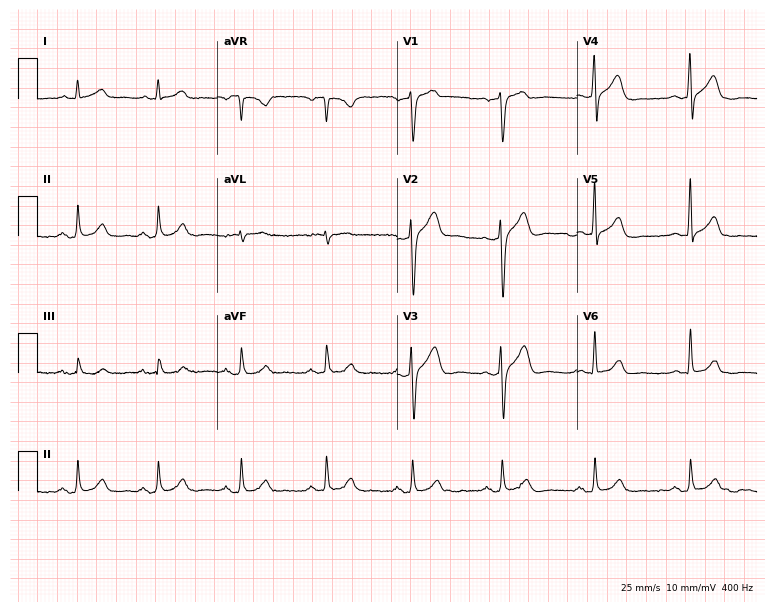
Resting 12-lead electrocardiogram. Patient: a male, 64 years old. None of these six findings is recorded: first-degree AV block, right bundle branch block, left bundle branch block, sinus bradycardia, atrial fibrillation, sinus tachycardia.